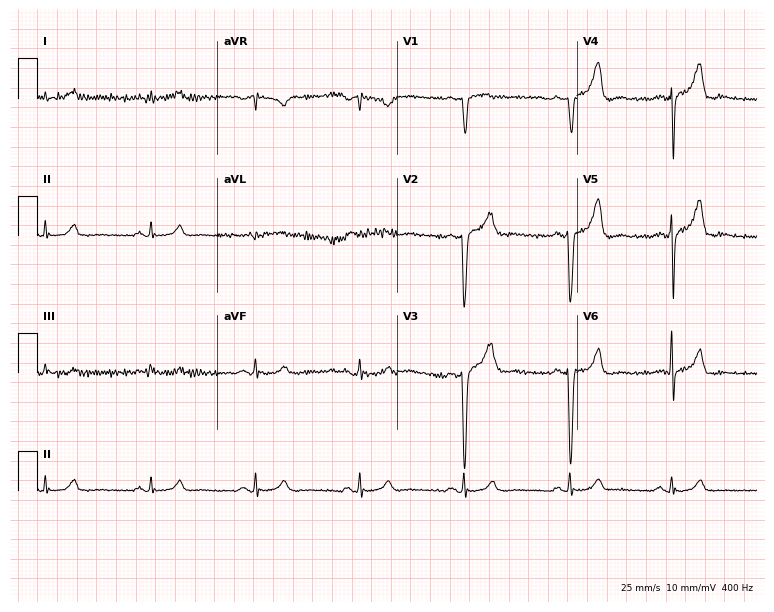
Standard 12-lead ECG recorded from a male patient, 62 years old. None of these six findings is recorded: first-degree AV block, right bundle branch block (RBBB), left bundle branch block (LBBB), sinus bradycardia, atrial fibrillation (AF), sinus tachycardia. Only these six findings were labelled.